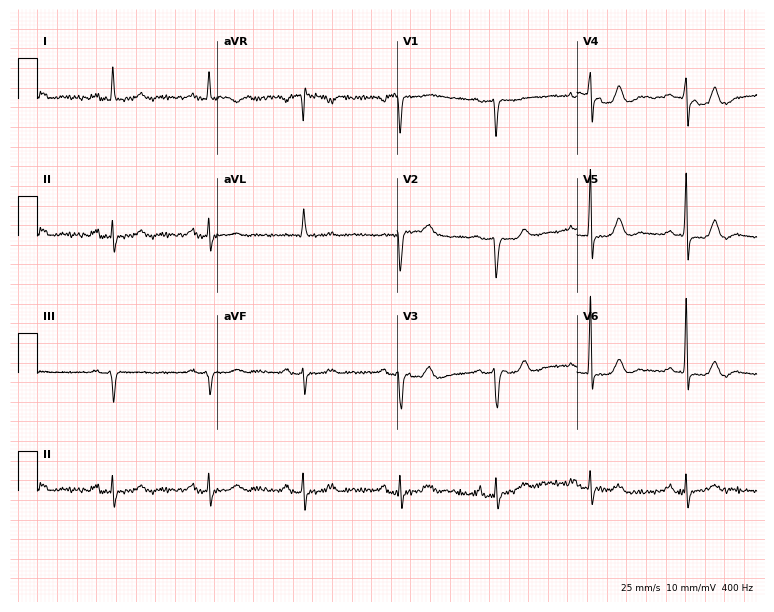
12-lead ECG from a woman, 70 years old. Recorded interpretation: within normal limits.